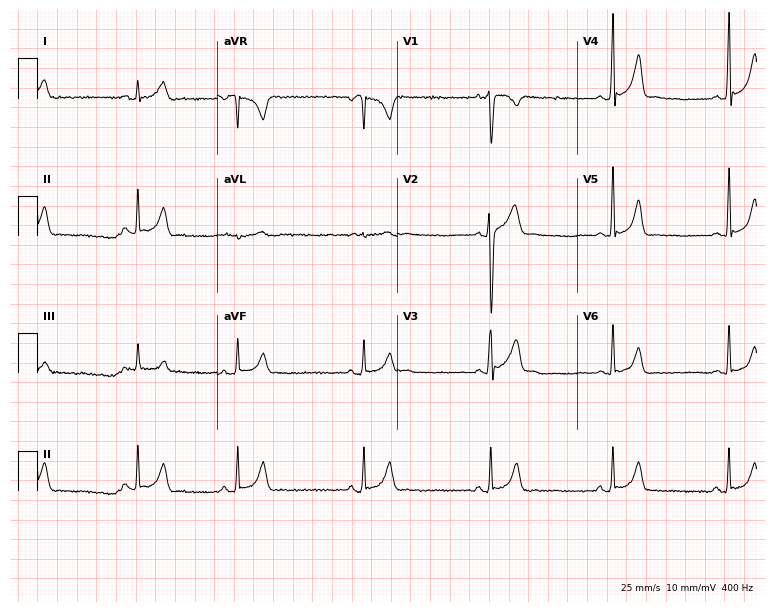
Resting 12-lead electrocardiogram. Patient: a 17-year-old man. Read as a normal ECG.